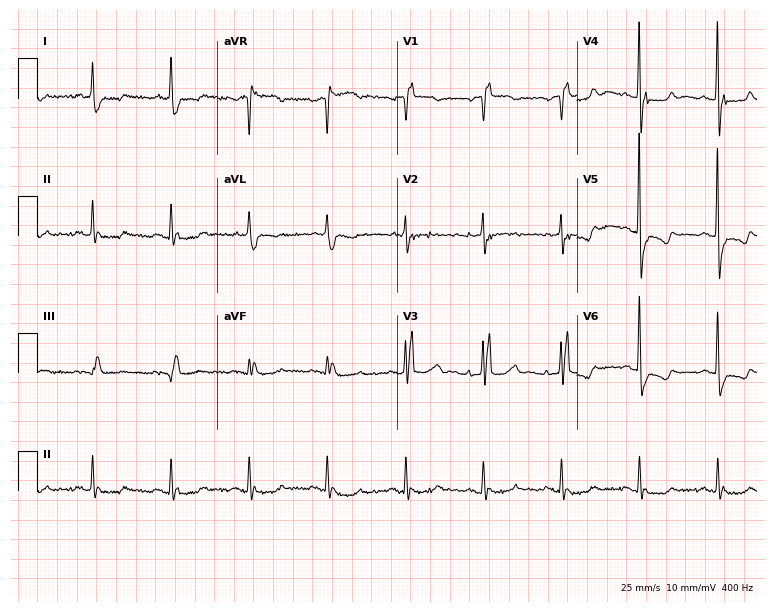
Standard 12-lead ECG recorded from an 84-year-old woman. The tracing shows right bundle branch block (RBBB).